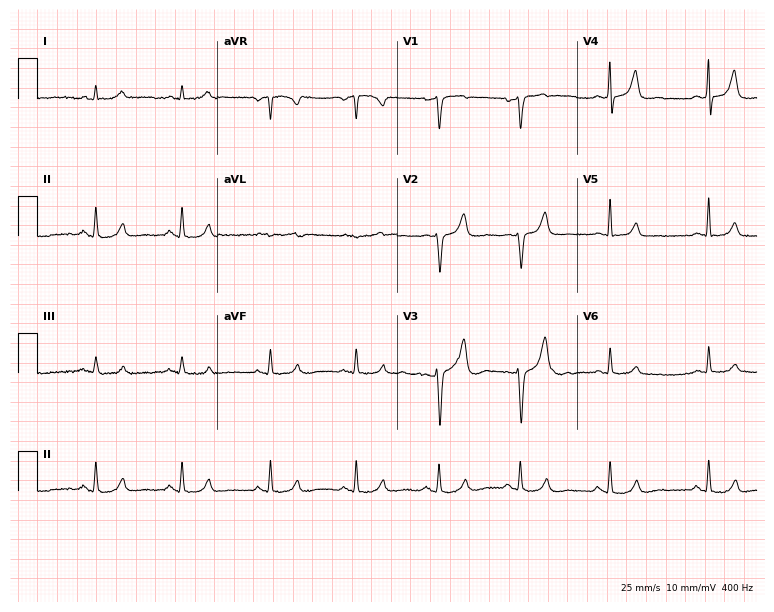
Standard 12-lead ECG recorded from a 60-year-old male (7.3-second recording at 400 Hz). Read as a normal ECG.